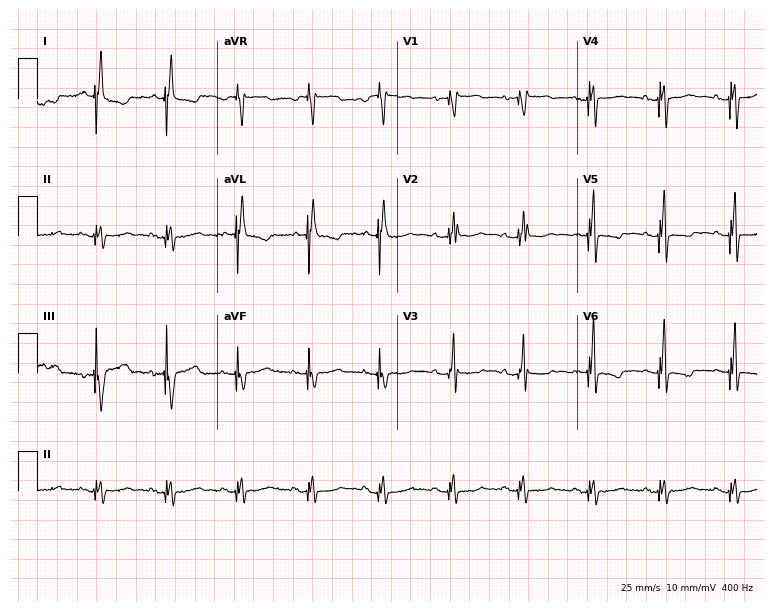
Standard 12-lead ECG recorded from a 65-year-old female patient. None of these six findings is recorded: first-degree AV block, right bundle branch block (RBBB), left bundle branch block (LBBB), sinus bradycardia, atrial fibrillation (AF), sinus tachycardia.